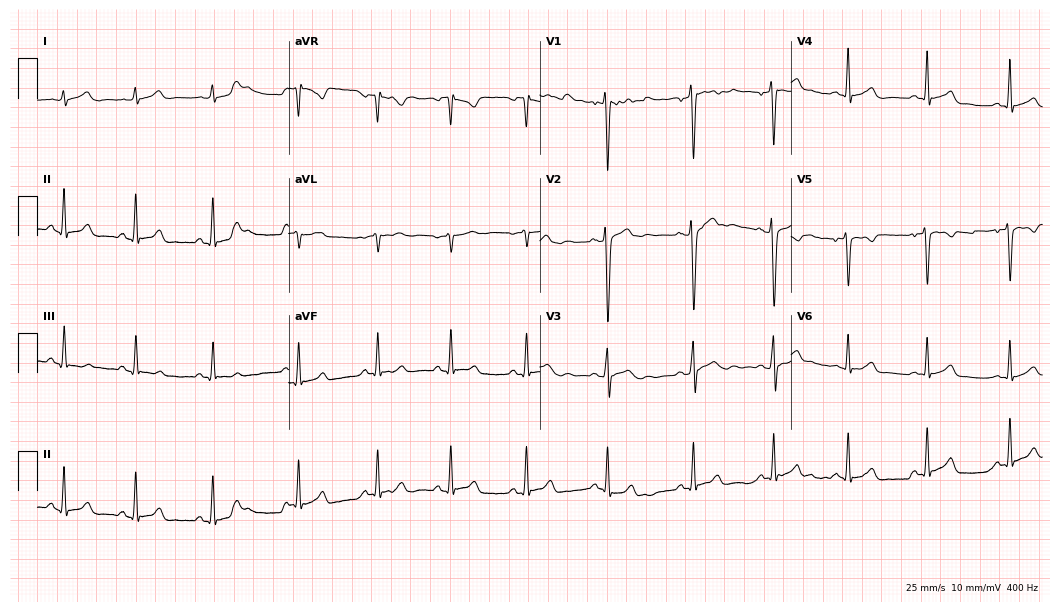
Resting 12-lead electrocardiogram (10.2-second recording at 400 Hz). Patient: a male, 21 years old. Read as a normal ECG.